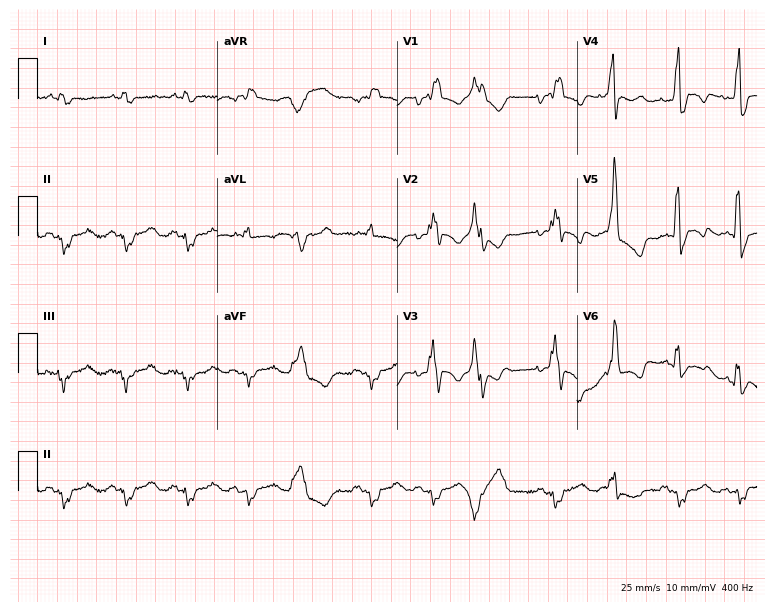
12-lead ECG from a male patient, 70 years old (7.3-second recording at 400 Hz). Shows right bundle branch block.